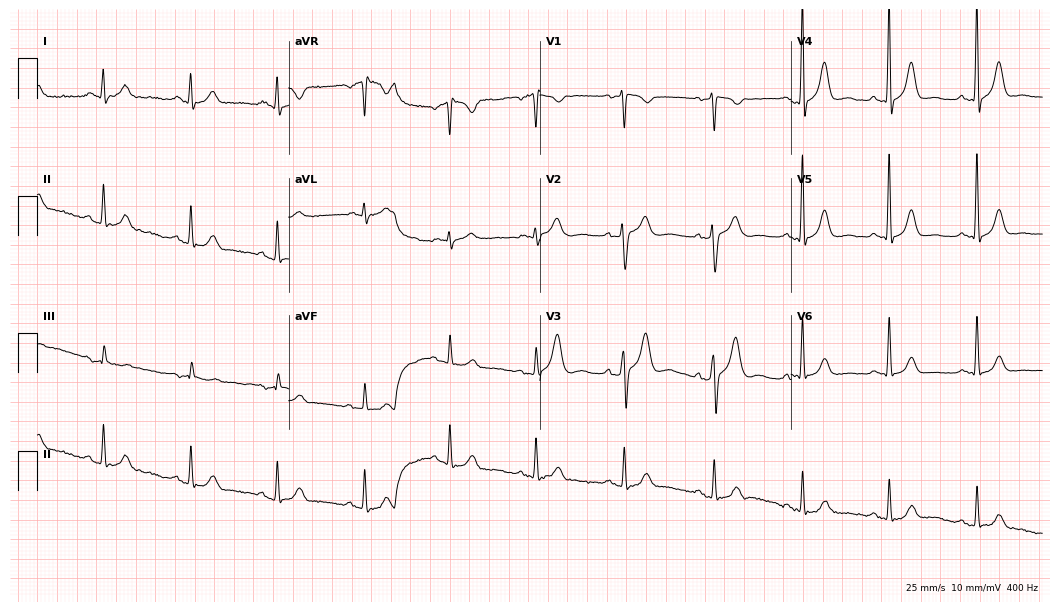
12-lead ECG (10.2-second recording at 400 Hz) from a 63-year-old male. Labelled as a normal ECG.